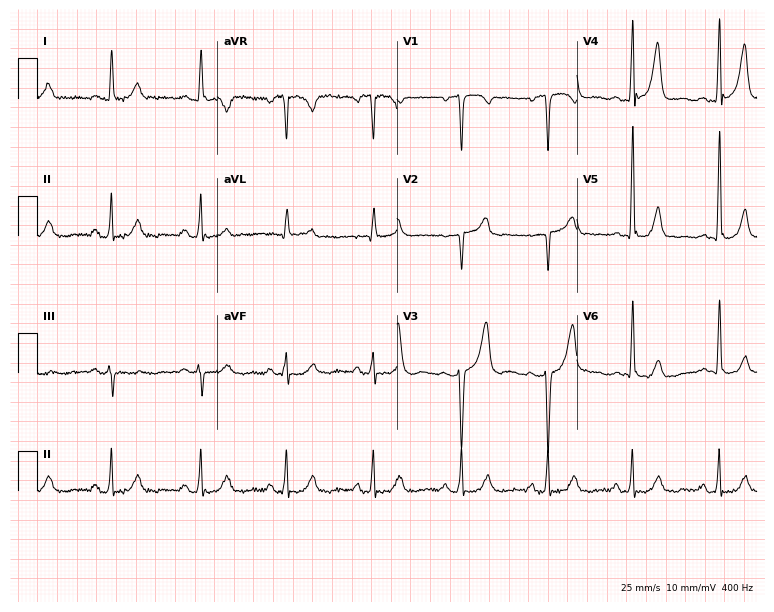
ECG — a male patient, 77 years old. Screened for six findings — first-degree AV block, right bundle branch block, left bundle branch block, sinus bradycardia, atrial fibrillation, sinus tachycardia — none is recorded. Other findings, if any, are not listed.